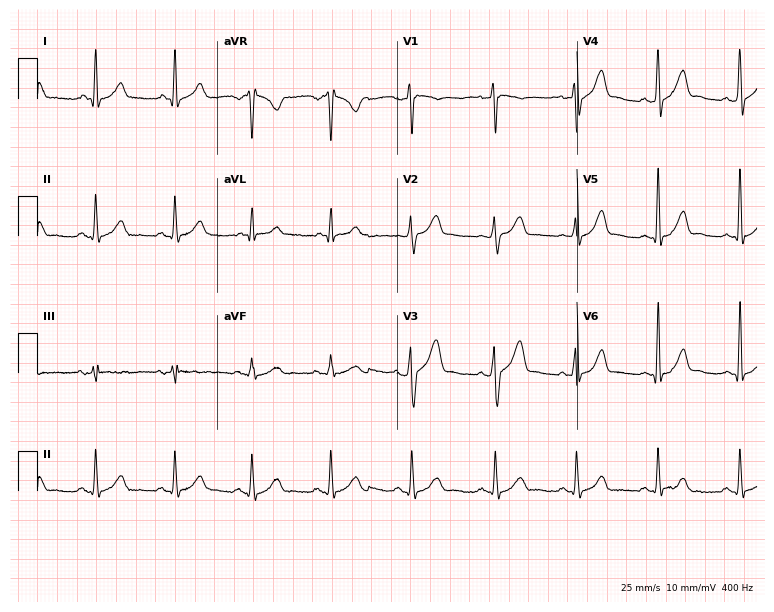
Resting 12-lead electrocardiogram (7.3-second recording at 400 Hz). Patient: a man, 29 years old. Read as a normal ECG.